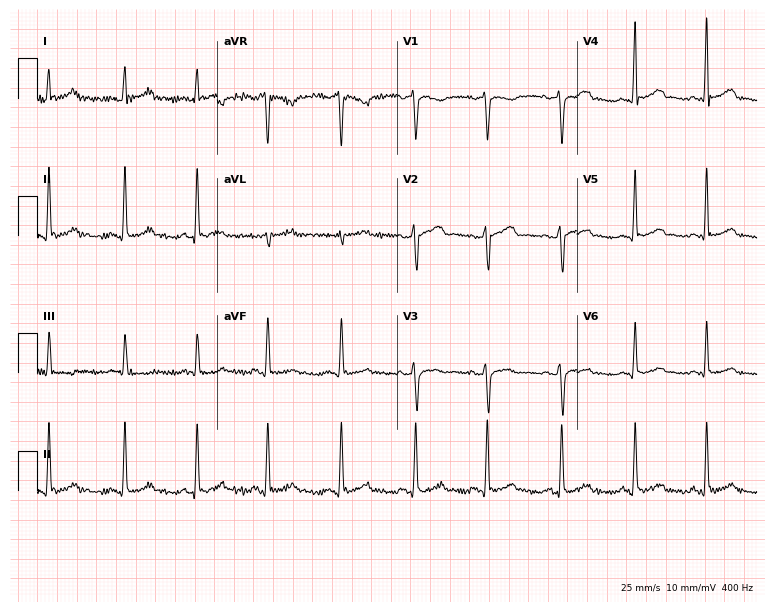
Electrocardiogram (7.3-second recording at 400 Hz), a female patient, 38 years old. Overall reading on record: normal ECG.